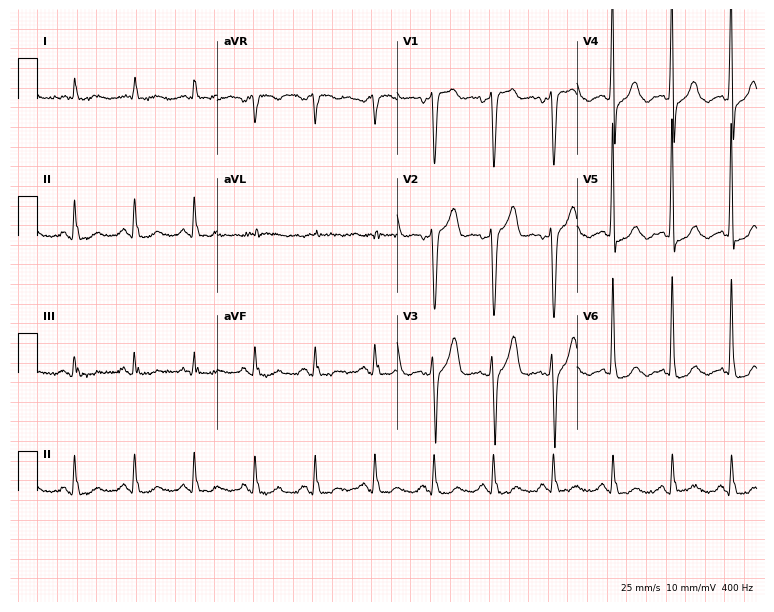
12-lead ECG from a male, 85 years old. Screened for six findings — first-degree AV block, right bundle branch block, left bundle branch block, sinus bradycardia, atrial fibrillation, sinus tachycardia — none is recorded.